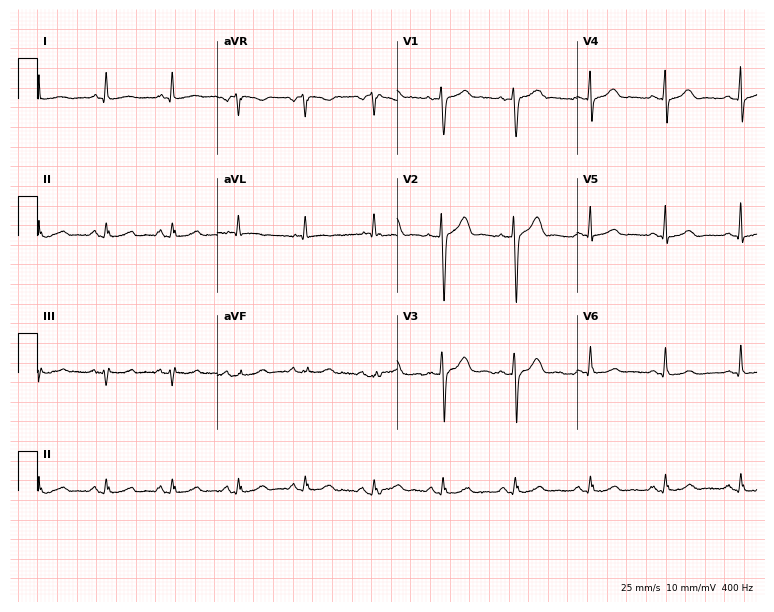
12-lead ECG from a male patient, 46 years old. Screened for six findings — first-degree AV block, right bundle branch block (RBBB), left bundle branch block (LBBB), sinus bradycardia, atrial fibrillation (AF), sinus tachycardia — none is recorded. Other findings, if any, are not listed.